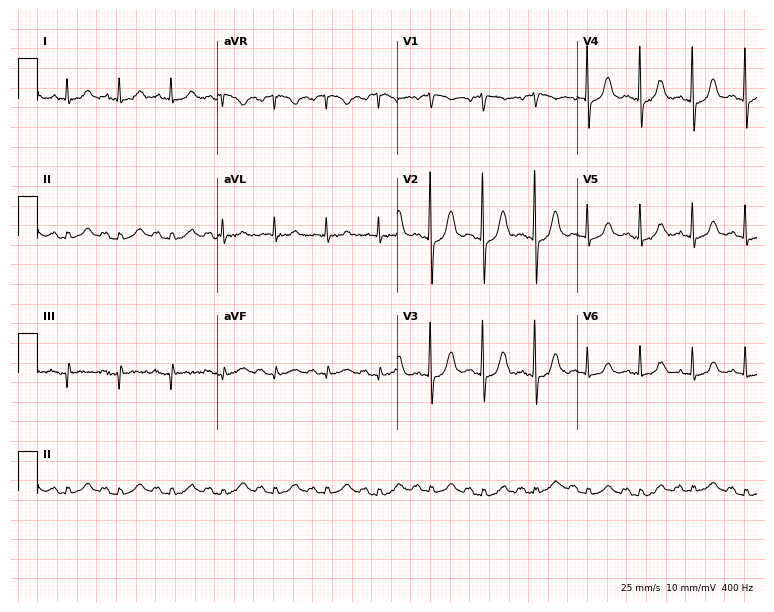
Electrocardiogram (7.3-second recording at 400 Hz), a male patient, 81 years old. Interpretation includes sinus tachycardia (a sinus rate of 100 beats per minute or more).